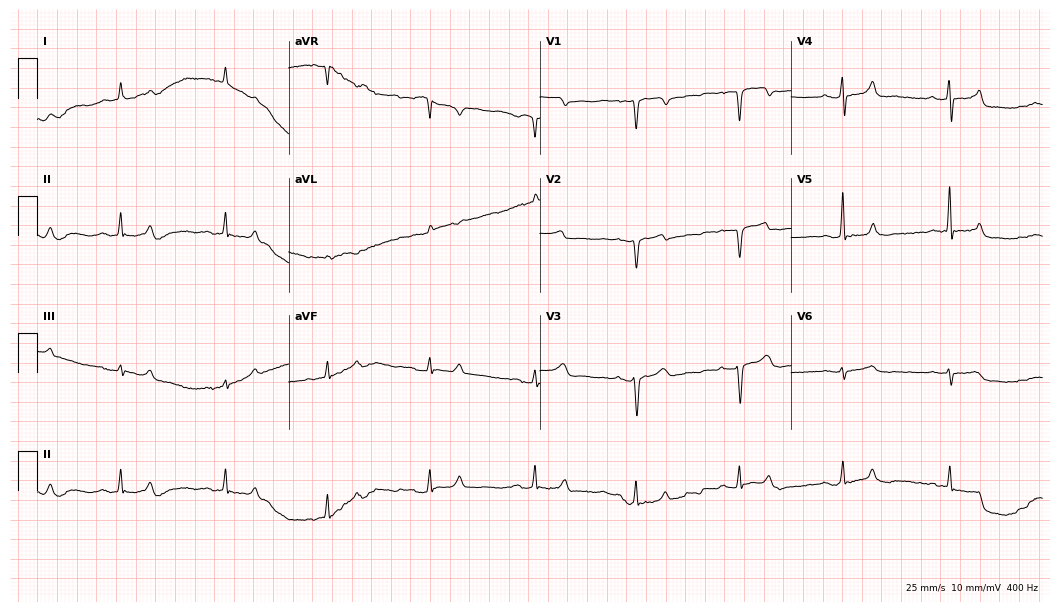
12-lead ECG from a male patient, 77 years old. No first-degree AV block, right bundle branch block, left bundle branch block, sinus bradycardia, atrial fibrillation or sinus tachycardia recorded for this tracing.